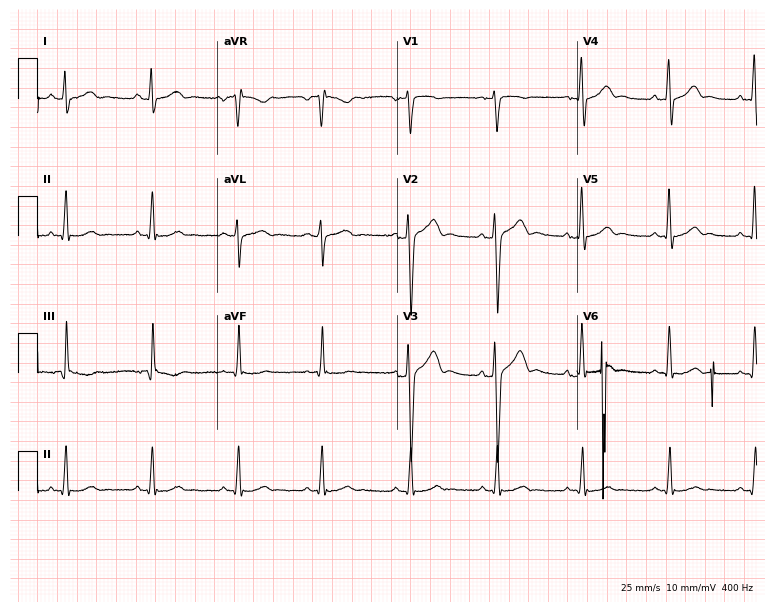
12-lead ECG from a male patient, 37 years old. Recorded interpretation: within normal limits.